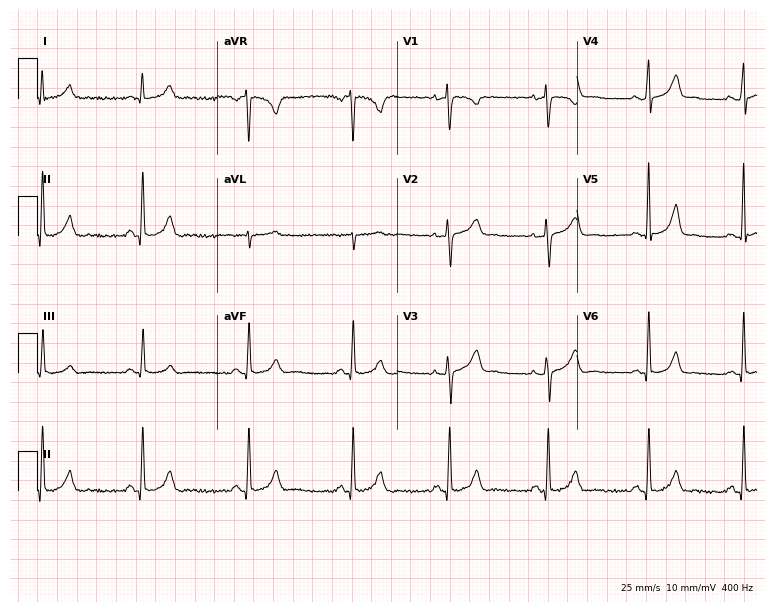
12-lead ECG from a female patient, 37 years old. Screened for six findings — first-degree AV block, right bundle branch block, left bundle branch block, sinus bradycardia, atrial fibrillation, sinus tachycardia — none is recorded.